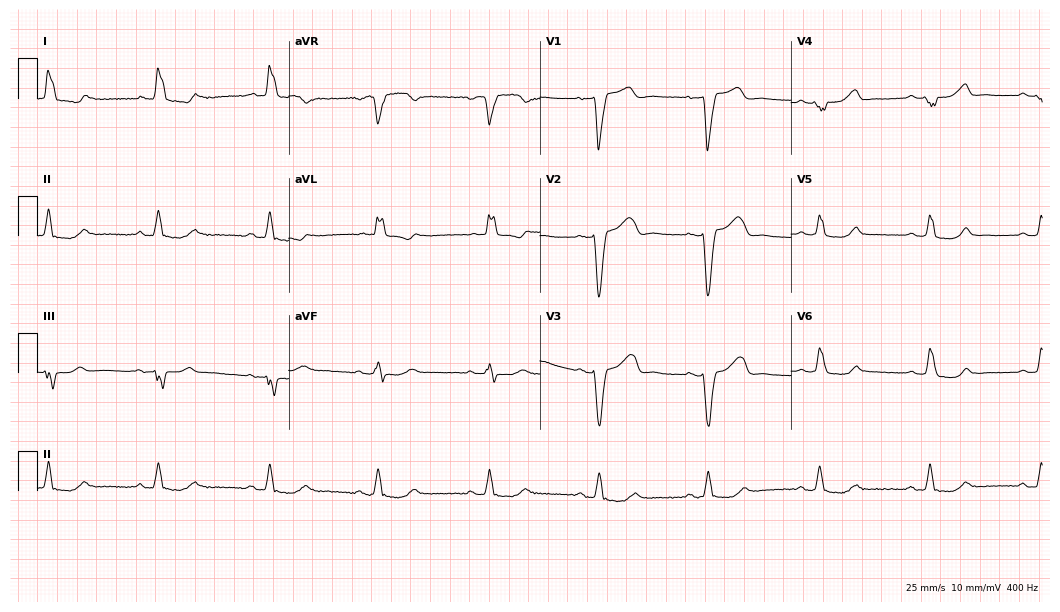
Electrocardiogram, a woman, 78 years old. Interpretation includes left bundle branch block.